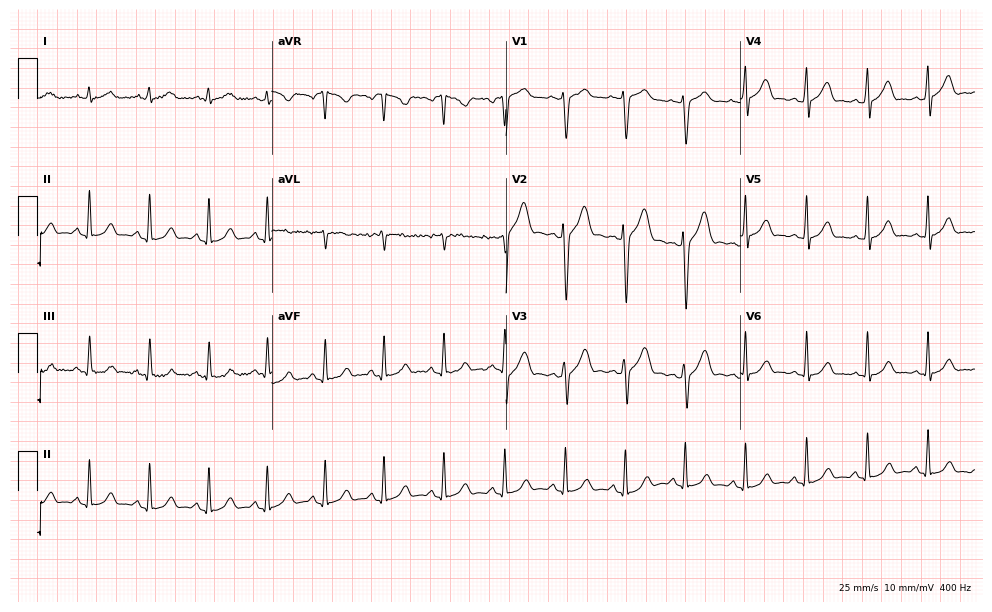
ECG (9.6-second recording at 400 Hz) — a 27-year-old man. Screened for six findings — first-degree AV block, right bundle branch block (RBBB), left bundle branch block (LBBB), sinus bradycardia, atrial fibrillation (AF), sinus tachycardia — none is recorded. Only these six findings were labelled.